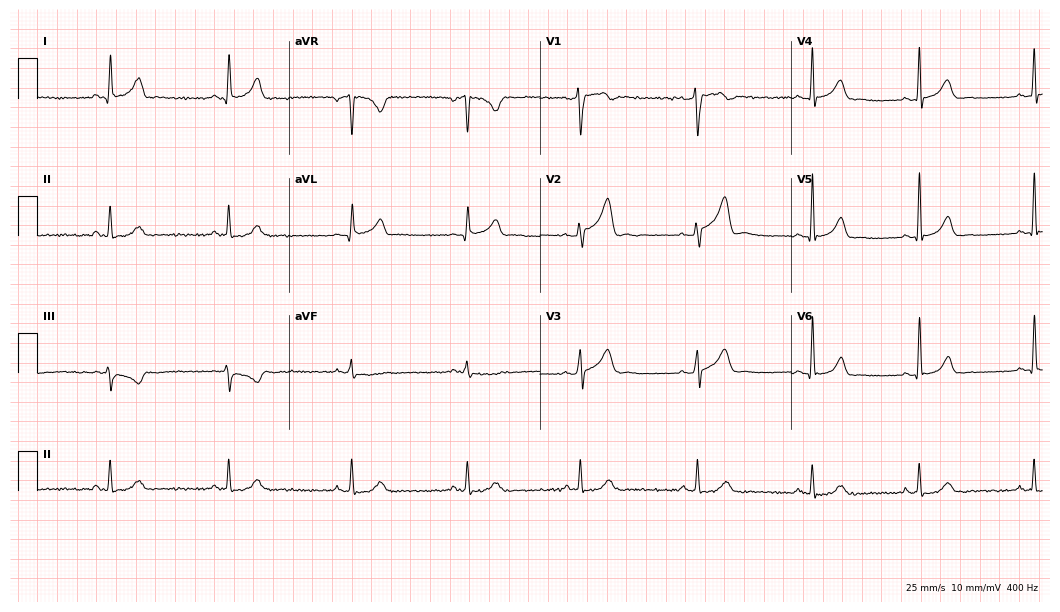
Resting 12-lead electrocardiogram. Patient: a male, 30 years old. Read as a normal ECG.